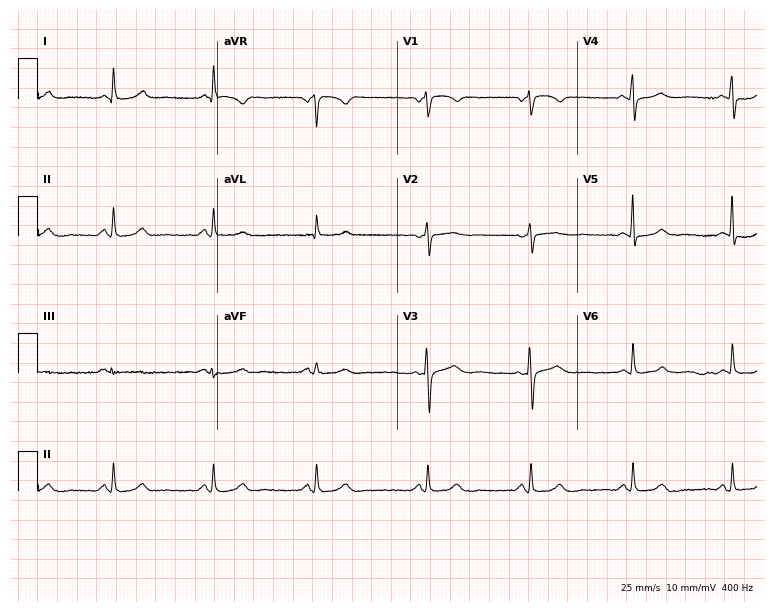
12-lead ECG from a 63-year-old female patient. Recorded interpretation: within normal limits.